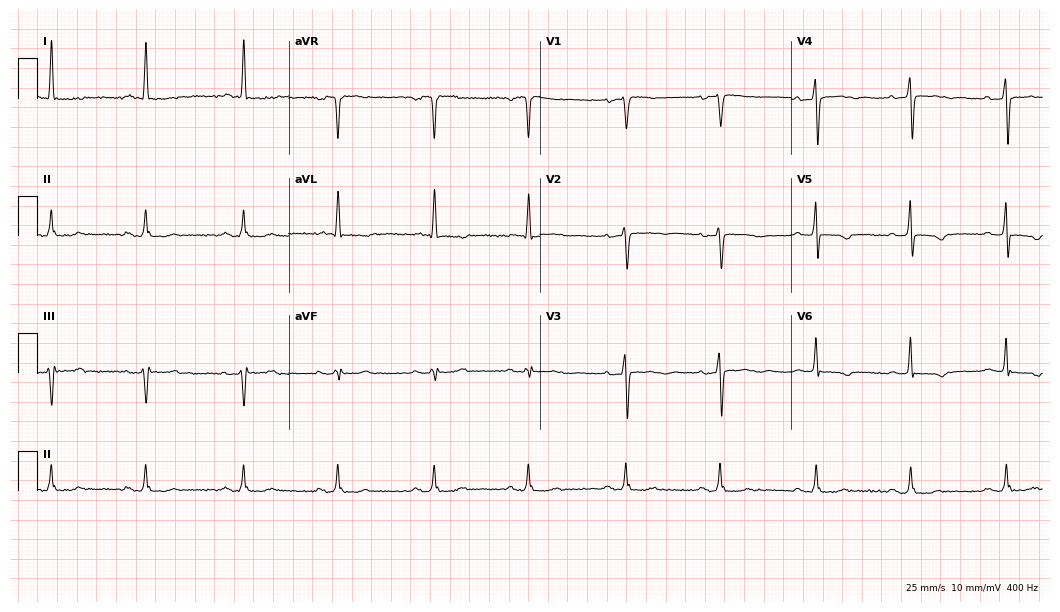
12-lead ECG from a female patient, 76 years old. No first-degree AV block, right bundle branch block, left bundle branch block, sinus bradycardia, atrial fibrillation or sinus tachycardia recorded for this tracing. Other findings, if any, are not listed.